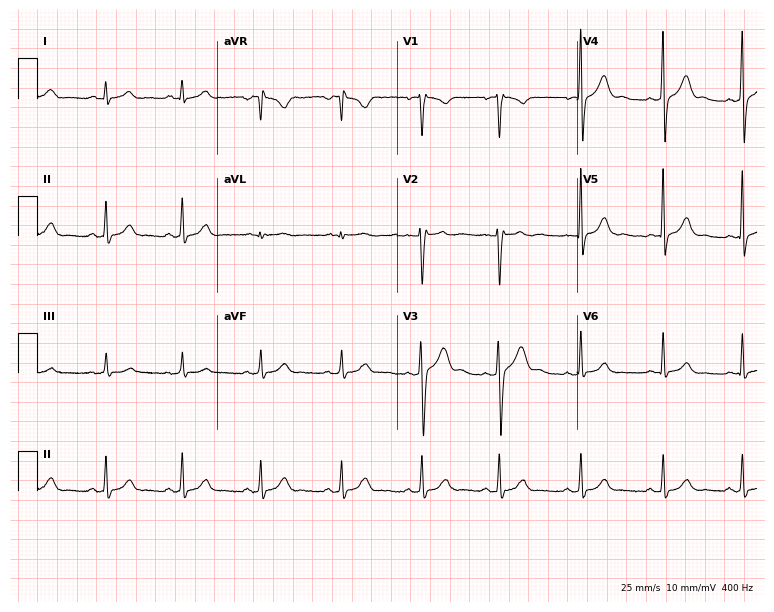
Resting 12-lead electrocardiogram. Patient: a 27-year-old man. Read as a normal ECG.